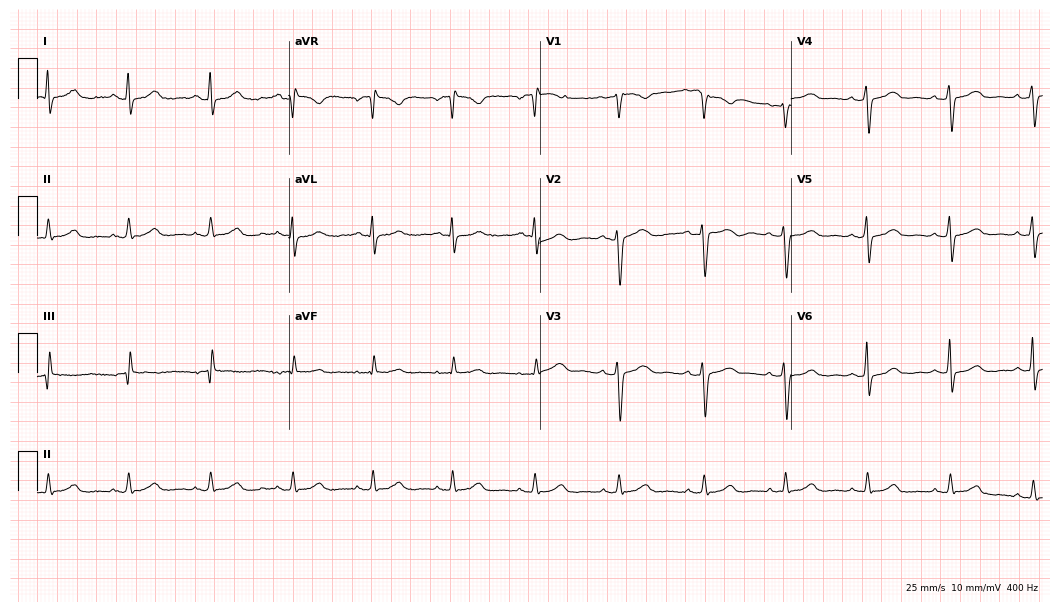
Electrocardiogram (10.2-second recording at 400 Hz), a 36-year-old woman. Of the six screened findings (first-degree AV block, right bundle branch block, left bundle branch block, sinus bradycardia, atrial fibrillation, sinus tachycardia), none is recorded. Findings outside these six are not listed.